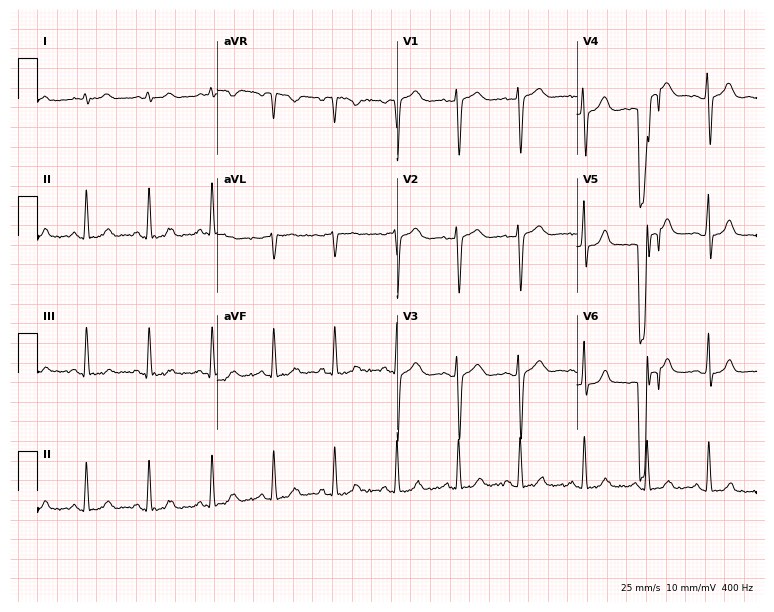
Electrocardiogram, a woman, 31 years old. Of the six screened findings (first-degree AV block, right bundle branch block, left bundle branch block, sinus bradycardia, atrial fibrillation, sinus tachycardia), none is recorded.